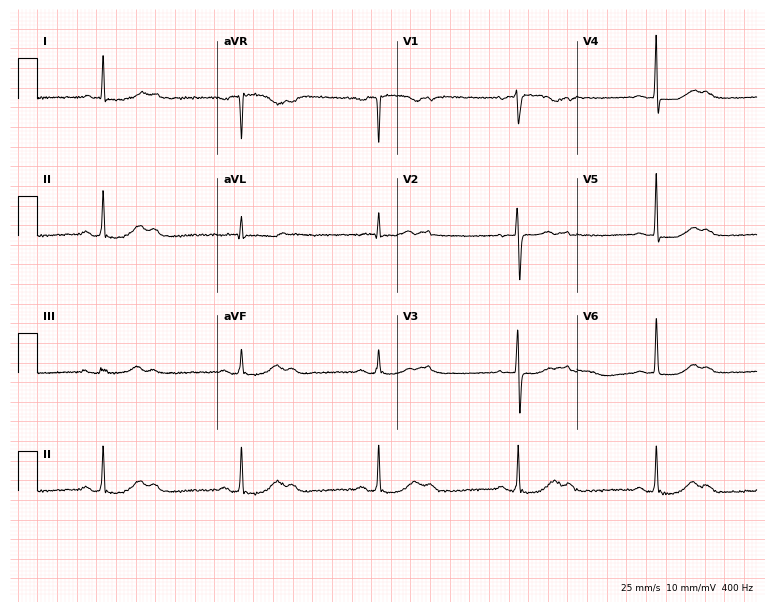
Standard 12-lead ECG recorded from an 82-year-old female patient. The tracing shows first-degree AV block.